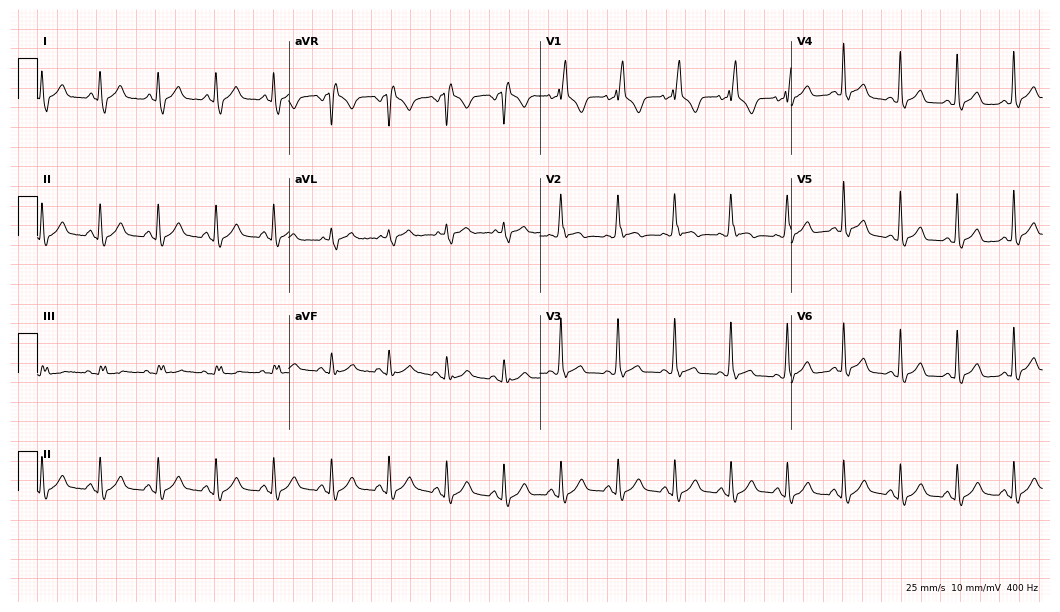
ECG — a male patient, 69 years old. Findings include right bundle branch block, sinus tachycardia (a sinus rate of 100 beats per minute or more).